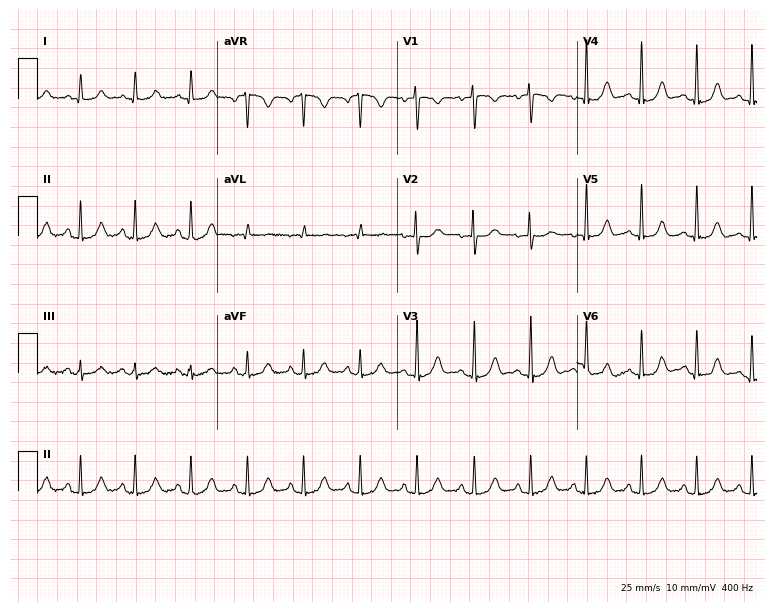
12-lead ECG from a 23-year-old female. Shows sinus tachycardia (a sinus rate of 100 beats per minute or more).